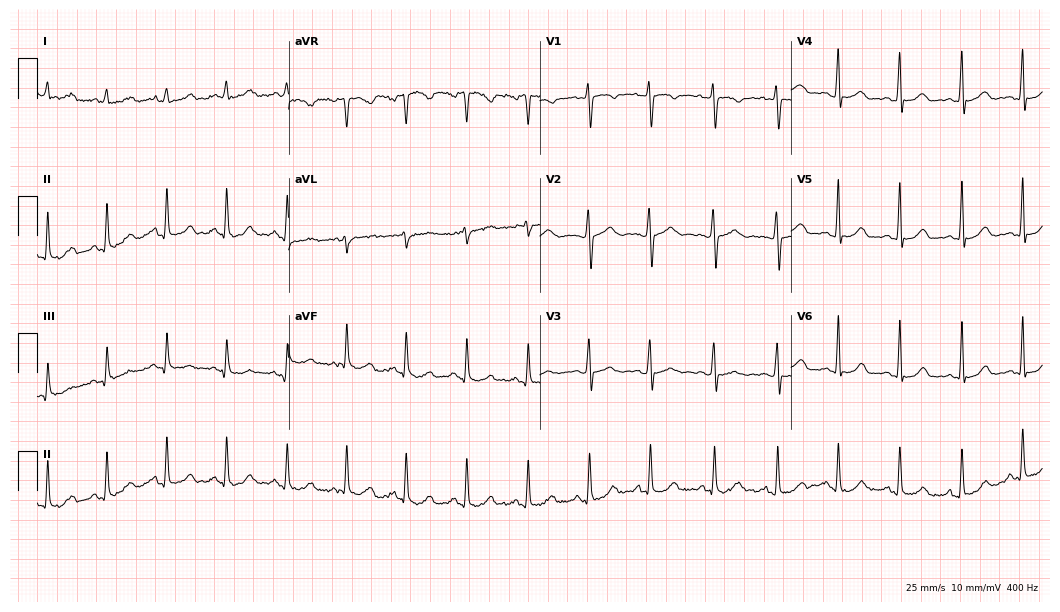
Resting 12-lead electrocardiogram (10.2-second recording at 400 Hz). Patient: a 22-year-old female. Read as a normal ECG.